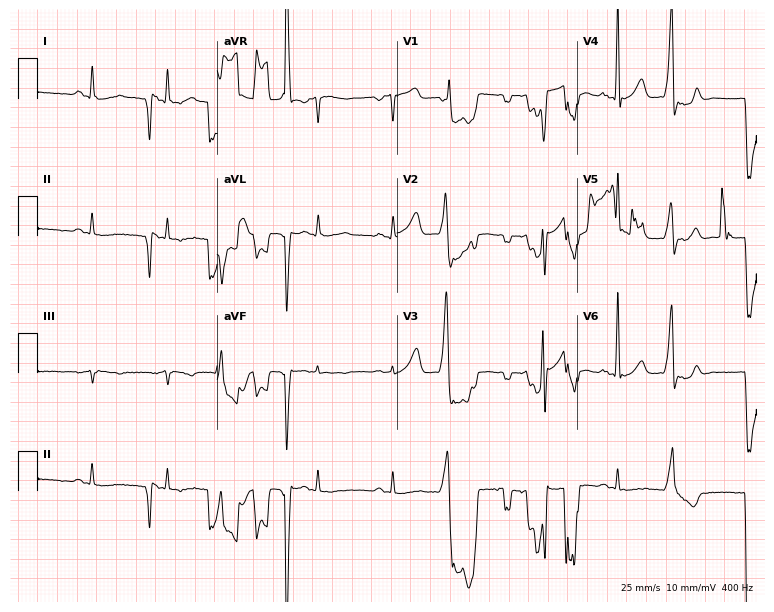
Electrocardiogram (7.3-second recording at 400 Hz), a 74-year-old male. Of the six screened findings (first-degree AV block, right bundle branch block, left bundle branch block, sinus bradycardia, atrial fibrillation, sinus tachycardia), none is recorded. Findings outside these six are not listed.